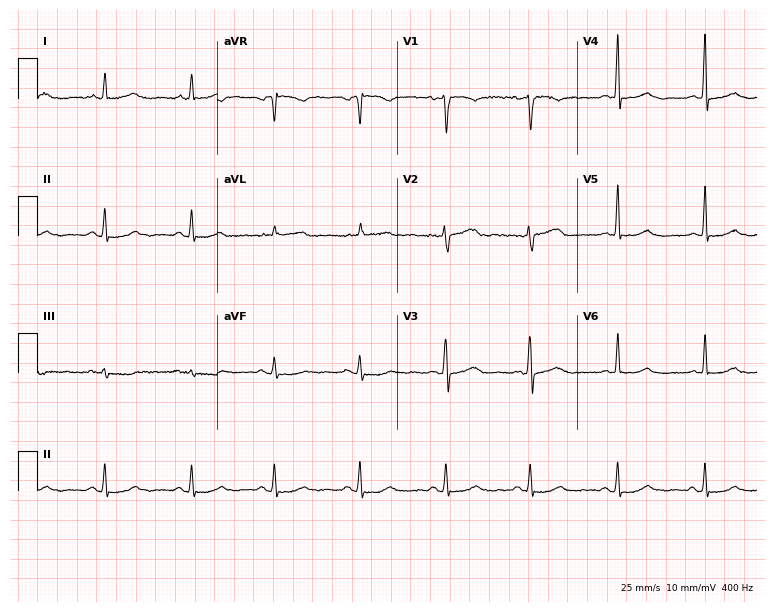
Resting 12-lead electrocardiogram (7.3-second recording at 400 Hz). Patient: a 54-year-old woman. Read as a normal ECG.